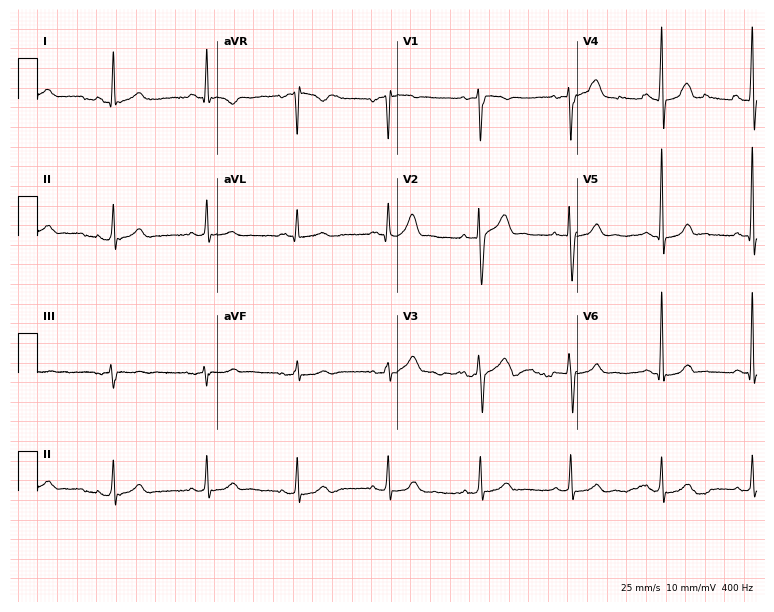
12-lead ECG from a male patient, 46 years old (7.3-second recording at 400 Hz). No first-degree AV block, right bundle branch block, left bundle branch block, sinus bradycardia, atrial fibrillation or sinus tachycardia recorded for this tracing.